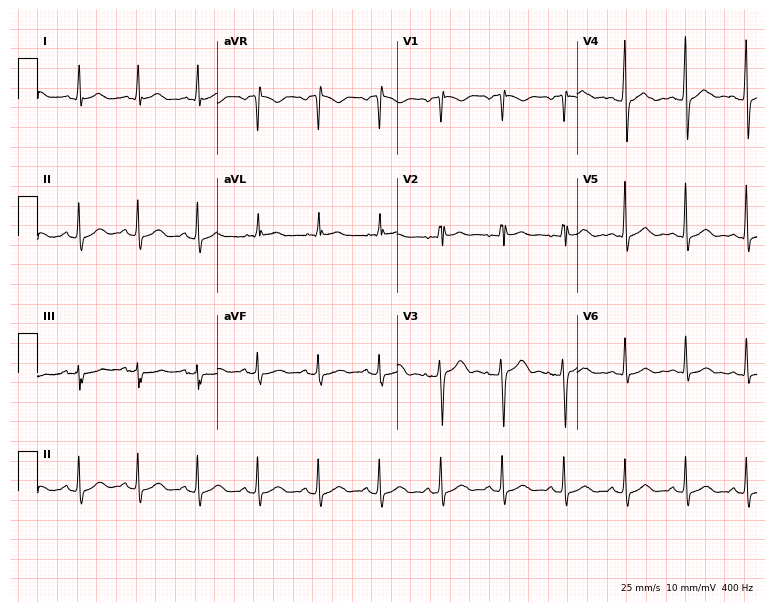
ECG — a 44-year-old male patient. Screened for six findings — first-degree AV block, right bundle branch block, left bundle branch block, sinus bradycardia, atrial fibrillation, sinus tachycardia — none is recorded. Only these six findings were labelled.